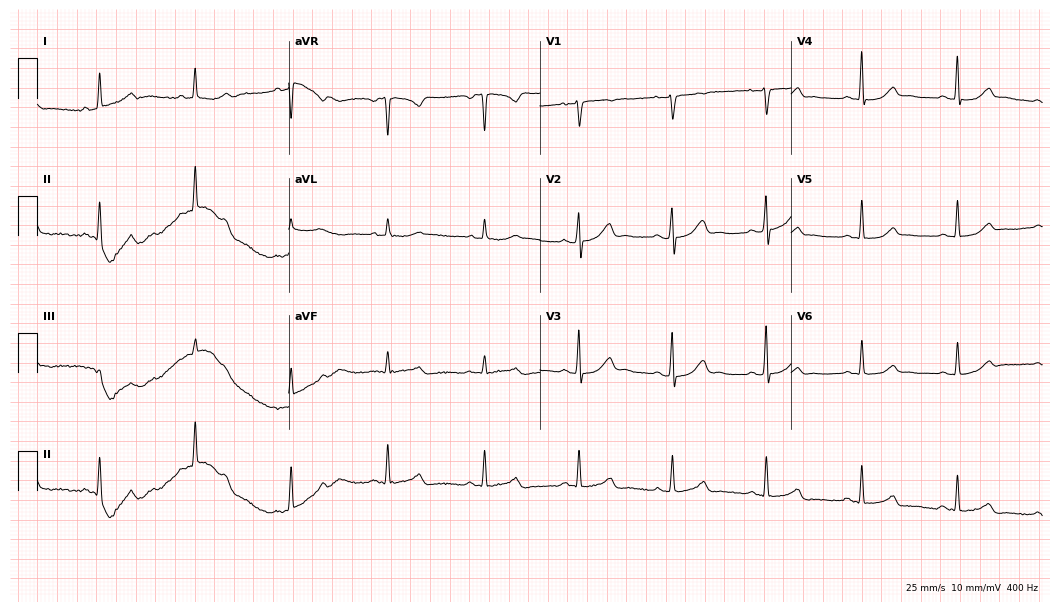
Standard 12-lead ECG recorded from a 67-year-old female patient (10.2-second recording at 400 Hz). Read as a normal ECG.